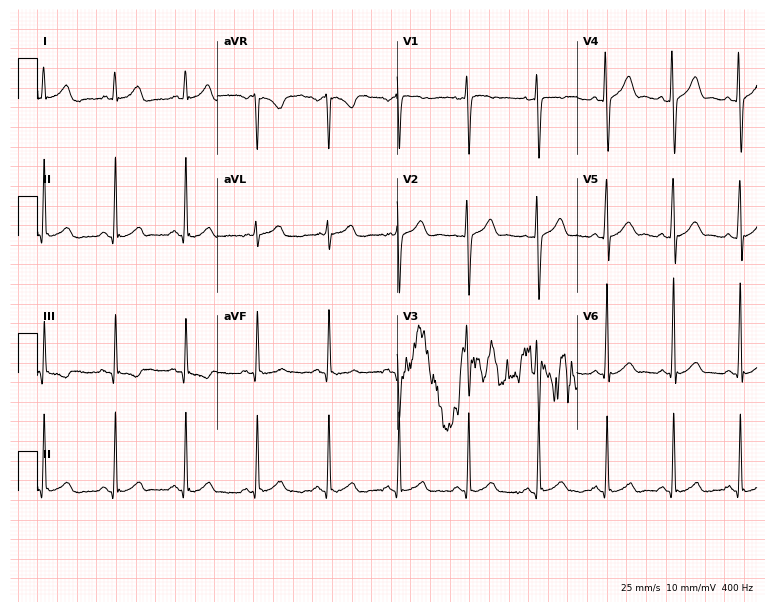
ECG (7.3-second recording at 400 Hz) — a 25-year-old female. Screened for six findings — first-degree AV block, right bundle branch block (RBBB), left bundle branch block (LBBB), sinus bradycardia, atrial fibrillation (AF), sinus tachycardia — none is recorded.